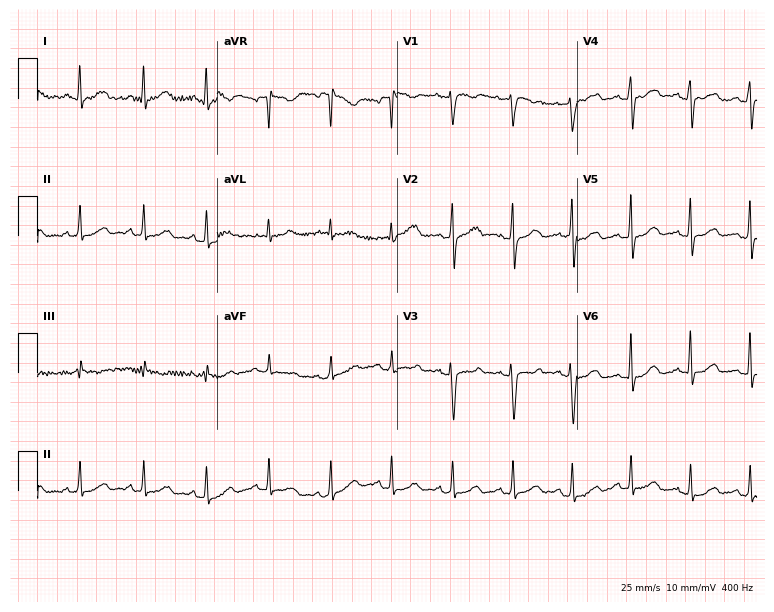
12-lead ECG from a 41-year-old female patient. Labelled as a normal ECG.